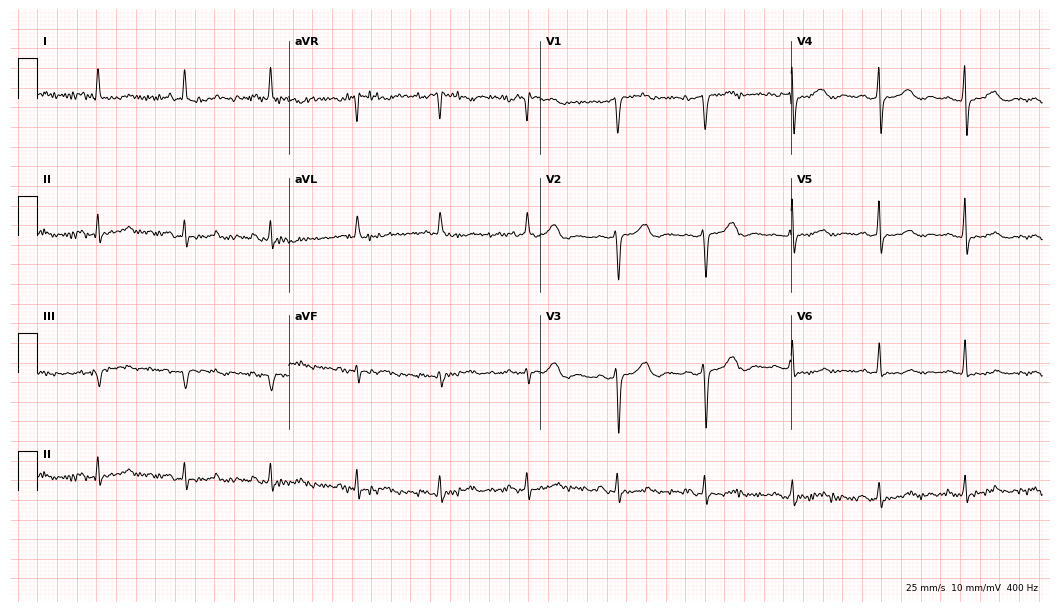
Standard 12-lead ECG recorded from a female patient, 65 years old. Read as a normal ECG.